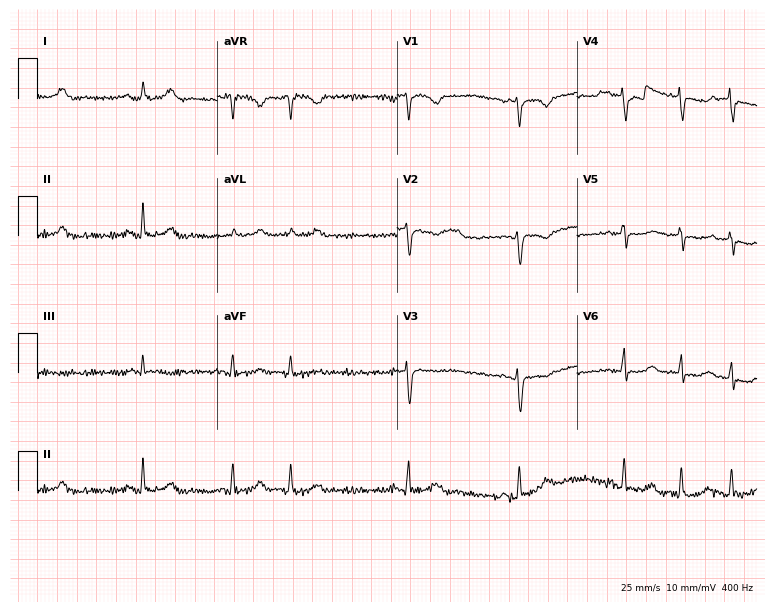
Resting 12-lead electrocardiogram. Patient: a female, 53 years old. None of these six findings is recorded: first-degree AV block, right bundle branch block, left bundle branch block, sinus bradycardia, atrial fibrillation, sinus tachycardia.